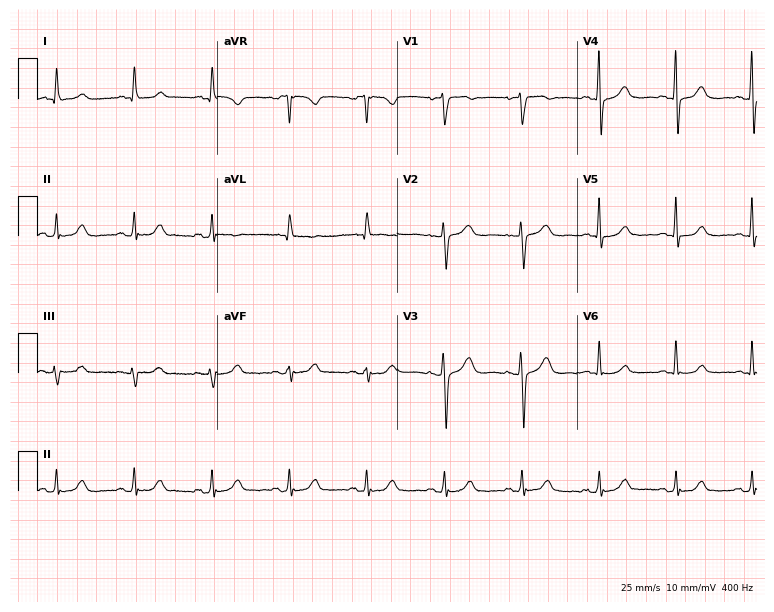
ECG (7.3-second recording at 400 Hz) — a 60-year-old female patient. Screened for six findings — first-degree AV block, right bundle branch block, left bundle branch block, sinus bradycardia, atrial fibrillation, sinus tachycardia — none is recorded. Only these six findings were labelled.